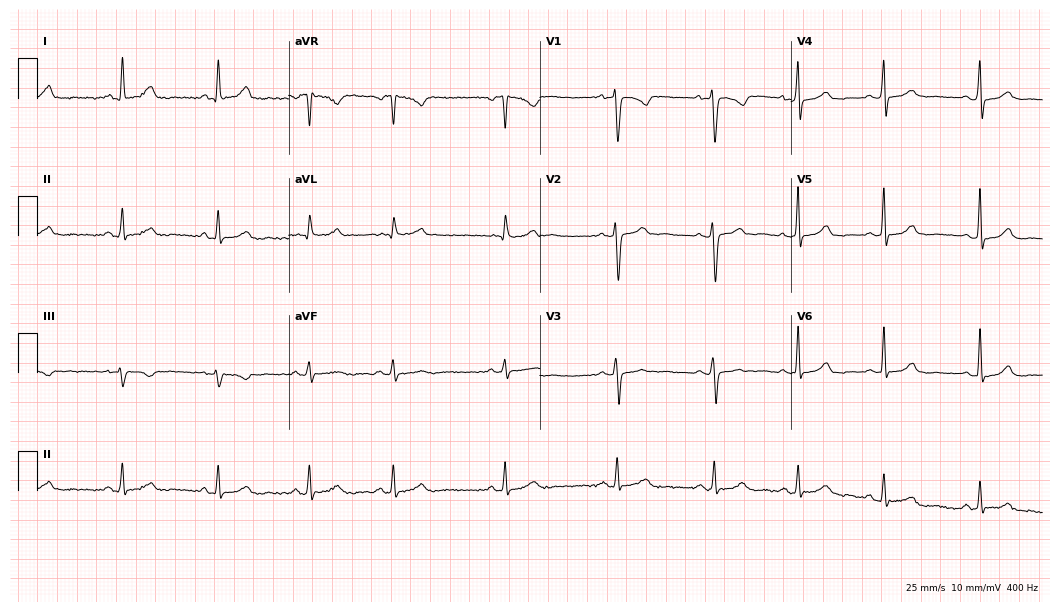
12-lead ECG from a 42-year-old female patient (10.2-second recording at 400 Hz). No first-degree AV block, right bundle branch block (RBBB), left bundle branch block (LBBB), sinus bradycardia, atrial fibrillation (AF) or sinus tachycardia recorded for this tracing.